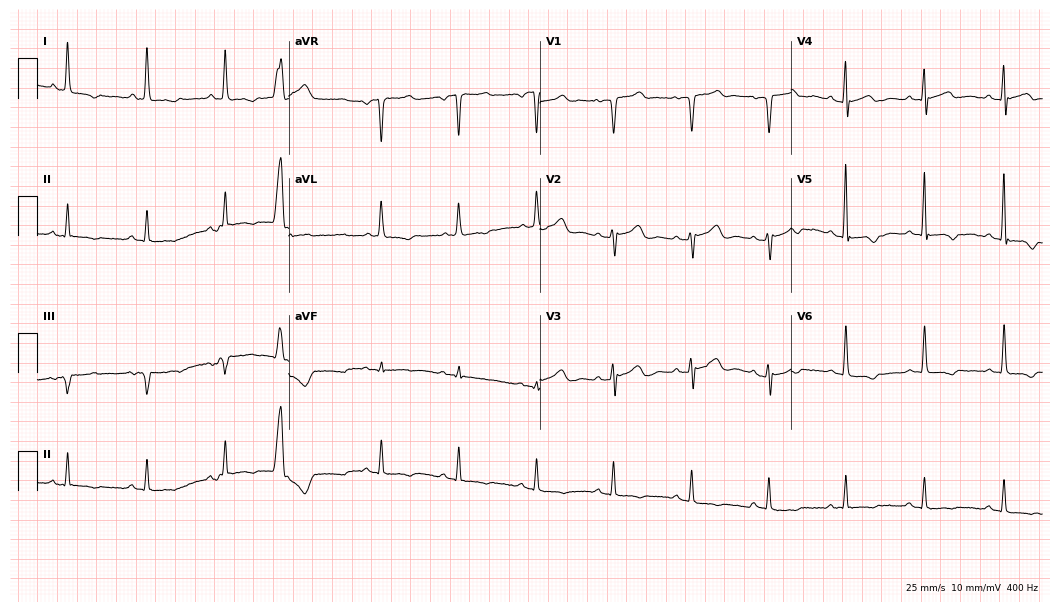
Resting 12-lead electrocardiogram. Patient: a 66-year-old woman. None of these six findings is recorded: first-degree AV block, right bundle branch block (RBBB), left bundle branch block (LBBB), sinus bradycardia, atrial fibrillation (AF), sinus tachycardia.